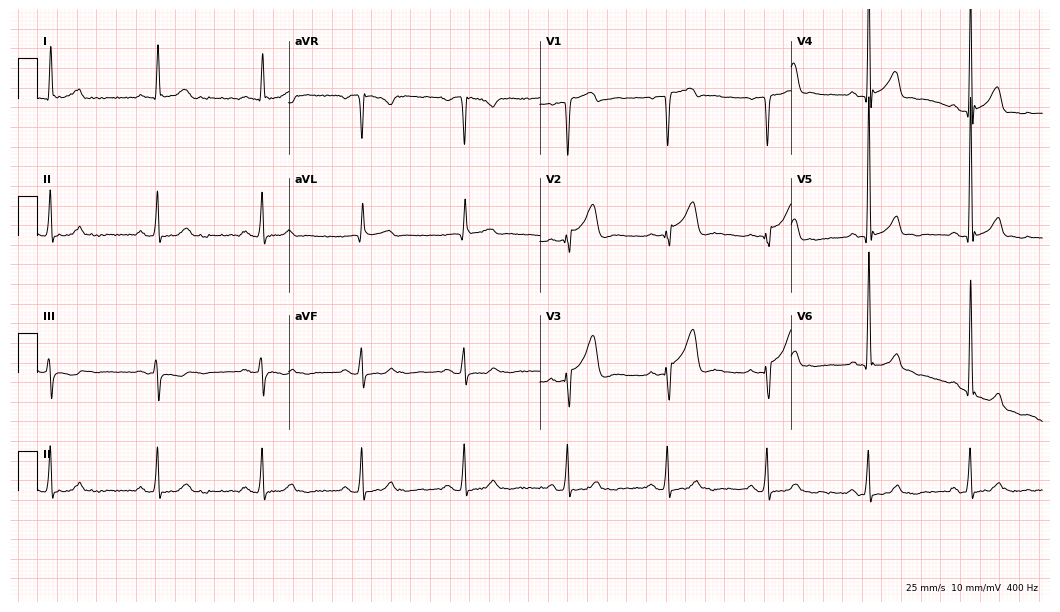
Resting 12-lead electrocardiogram (10.2-second recording at 400 Hz). Patient: a 54-year-old male. Read as a normal ECG.